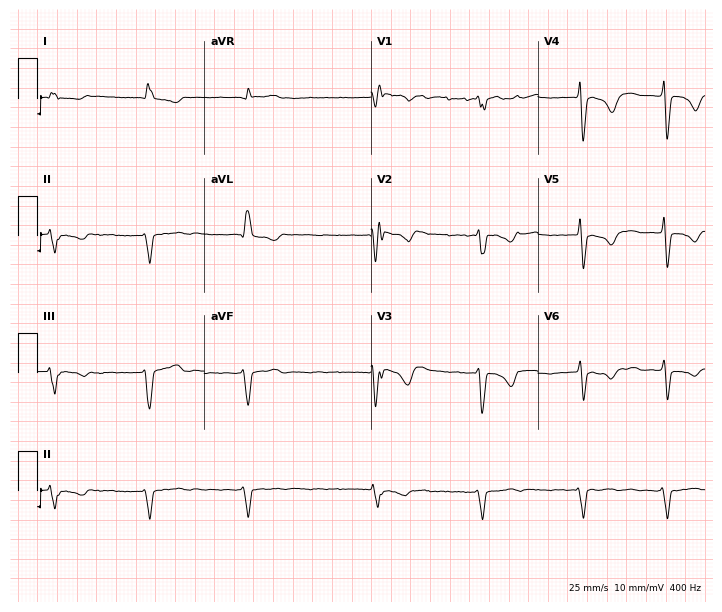
Electrocardiogram, a female, 74 years old. Interpretation includes atrial fibrillation (AF).